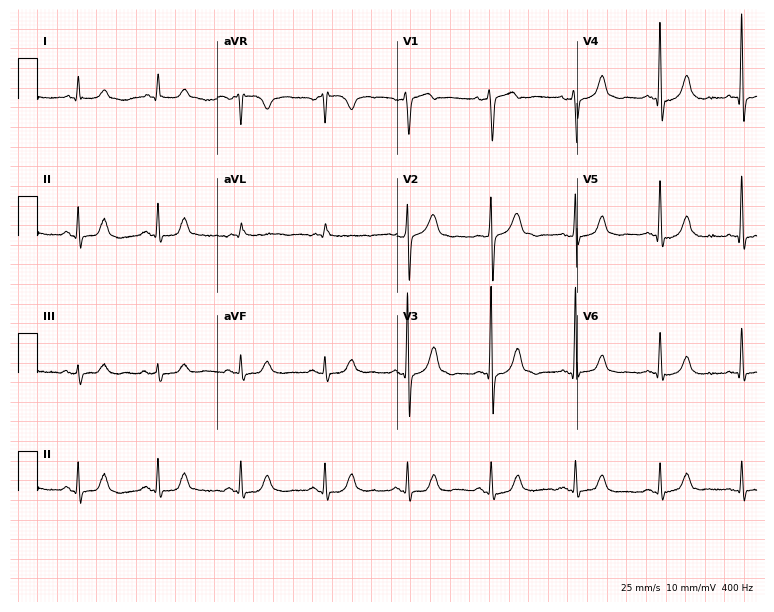
12-lead ECG from a 60-year-old woman (7.3-second recording at 400 Hz). Recorded interpretation: within normal limits.